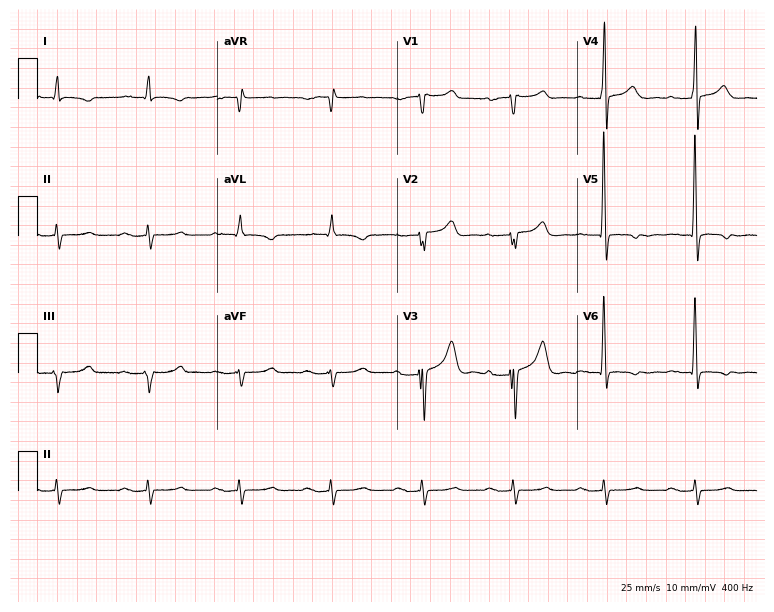
Standard 12-lead ECG recorded from a 68-year-old male patient (7.3-second recording at 400 Hz). The tracing shows first-degree AV block.